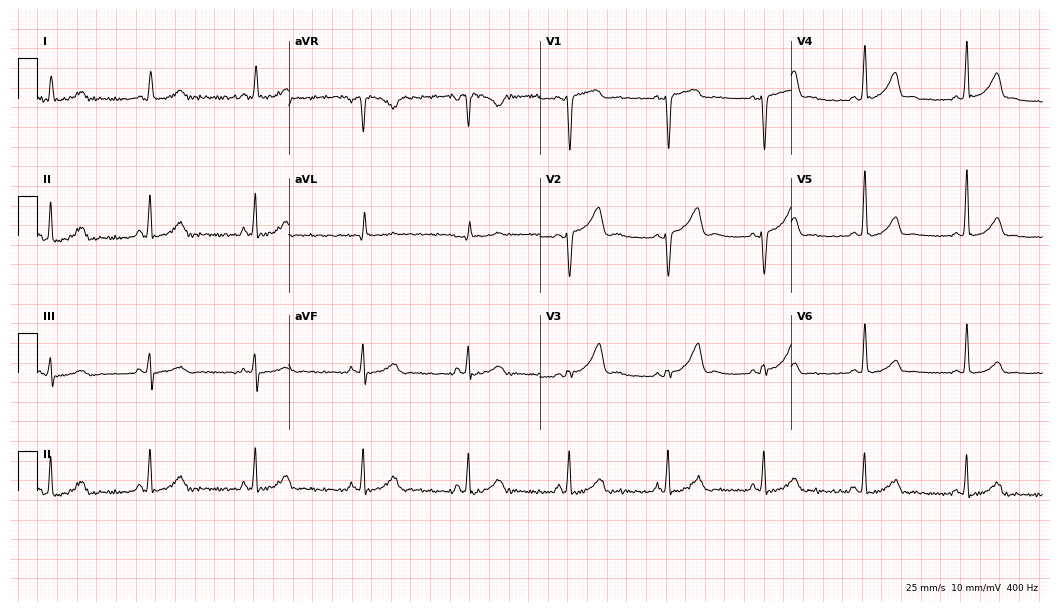
12-lead ECG from a female patient, 46 years old (10.2-second recording at 400 Hz). Recorded interpretation: within normal limits.